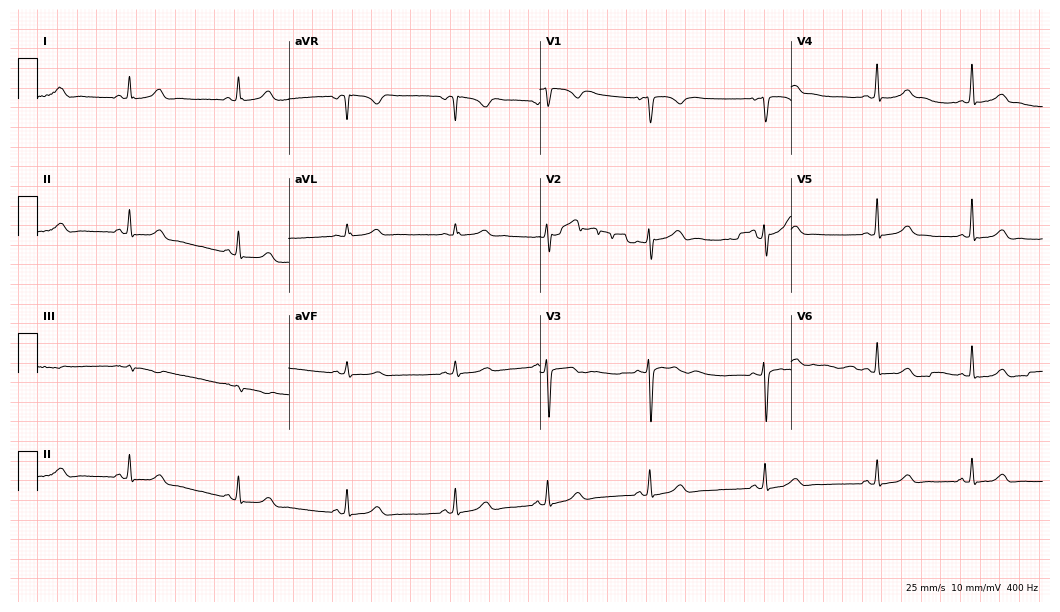
Electrocardiogram (10.2-second recording at 400 Hz), a 32-year-old female. Overall reading on record: normal ECG.